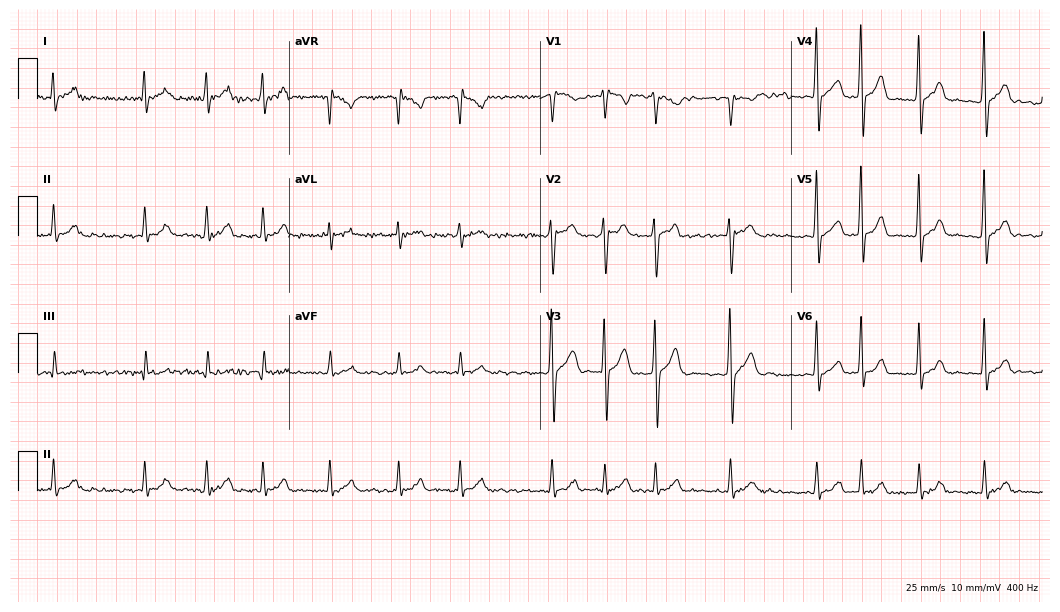
12-lead ECG (10.2-second recording at 400 Hz) from a 36-year-old male patient. Findings include atrial fibrillation.